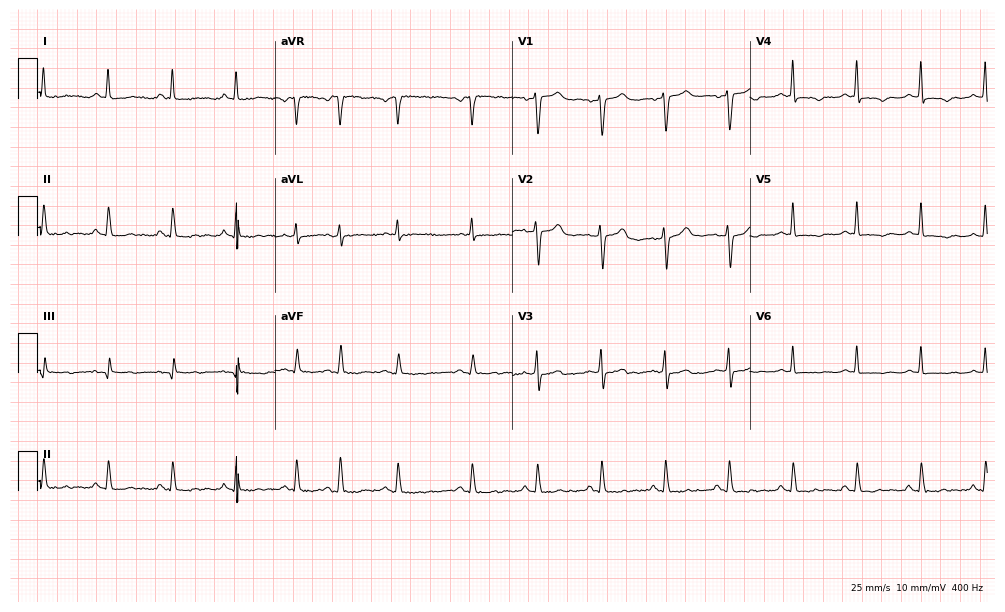
Standard 12-lead ECG recorded from a 62-year-old female. None of these six findings is recorded: first-degree AV block, right bundle branch block, left bundle branch block, sinus bradycardia, atrial fibrillation, sinus tachycardia.